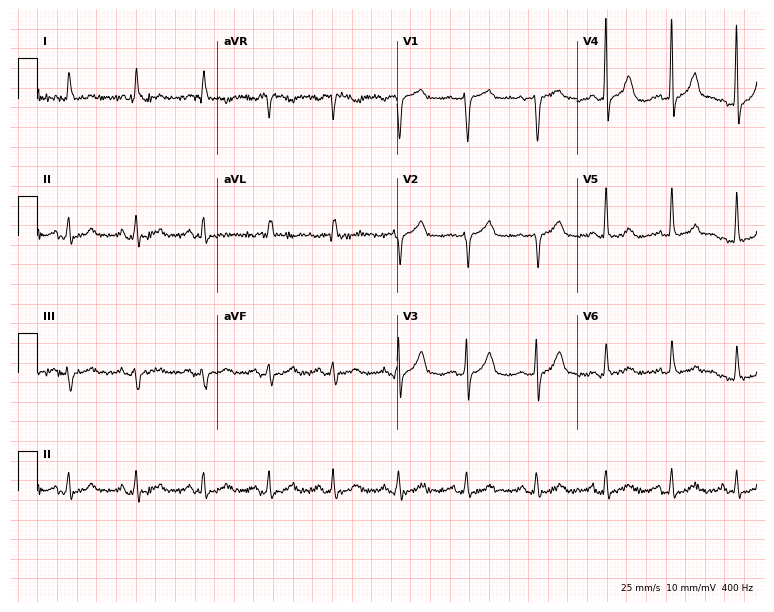
ECG (7.3-second recording at 400 Hz) — an 80-year-old female patient. Screened for six findings — first-degree AV block, right bundle branch block (RBBB), left bundle branch block (LBBB), sinus bradycardia, atrial fibrillation (AF), sinus tachycardia — none is recorded.